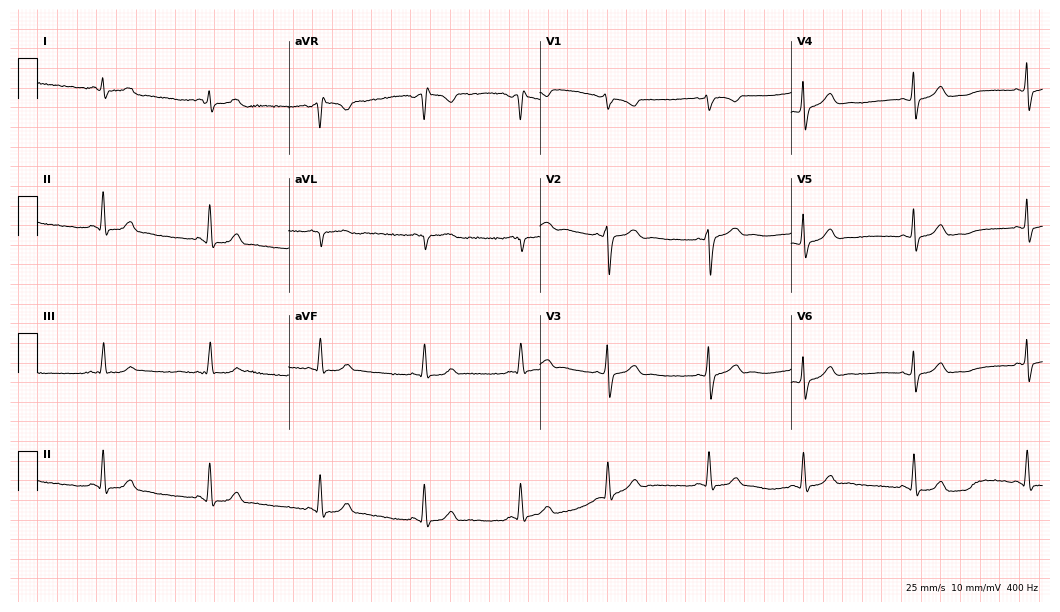
Resting 12-lead electrocardiogram. Patient: a female, 20 years old. None of these six findings is recorded: first-degree AV block, right bundle branch block, left bundle branch block, sinus bradycardia, atrial fibrillation, sinus tachycardia. Other findings, if any, are not listed.